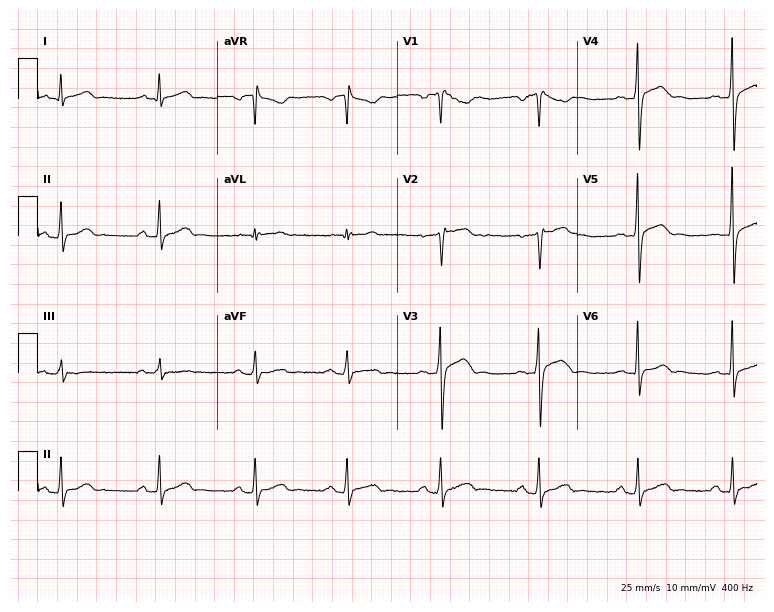
ECG (7.3-second recording at 400 Hz) — a man, 32 years old. Labelled as a normal ECG.